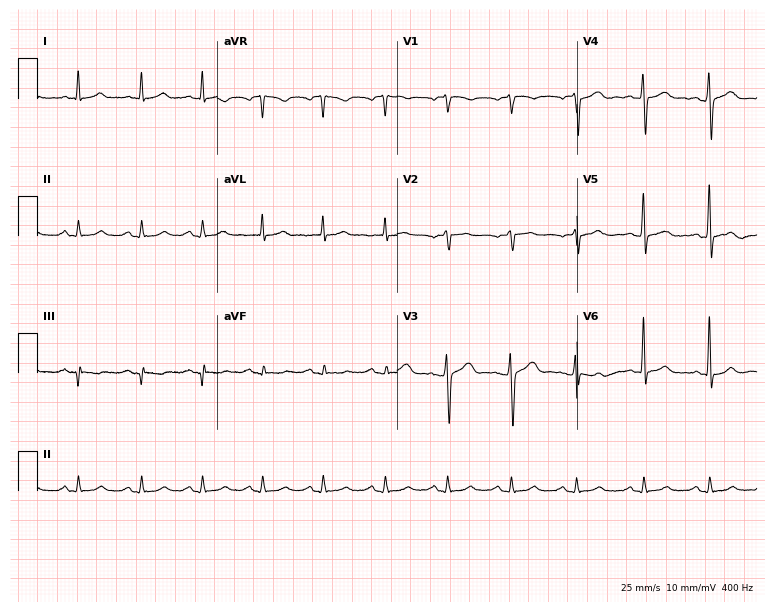
Standard 12-lead ECG recorded from a 55-year-old woman. Read as a normal ECG.